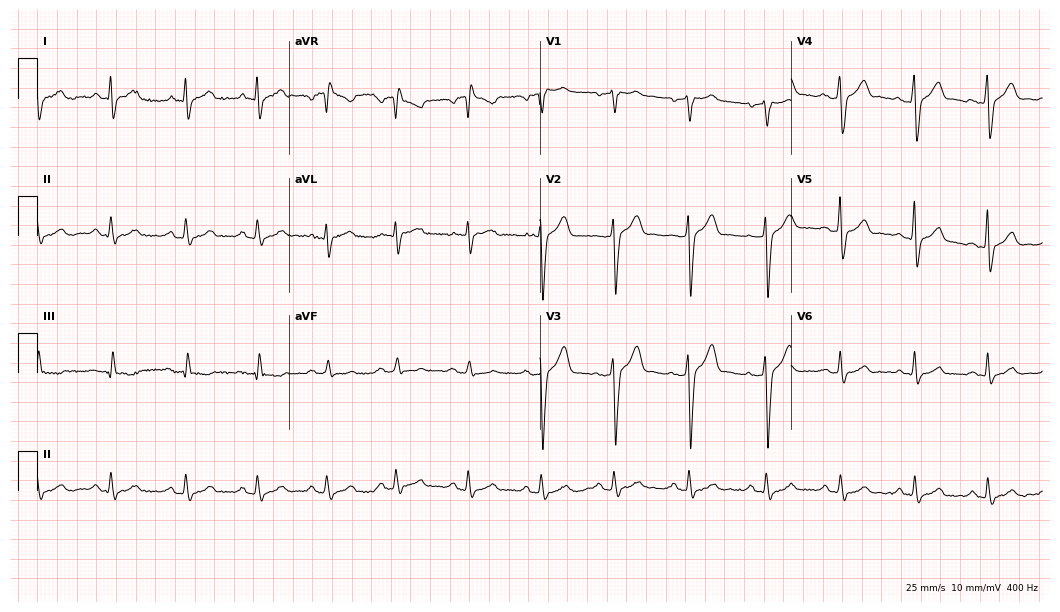
Resting 12-lead electrocardiogram. Patient: a 40-year-old man. None of these six findings is recorded: first-degree AV block, right bundle branch block (RBBB), left bundle branch block (LBBB), sinus bradycardia, atrial fibrillation (AF), sinus tachycardia. Other findings, if any, are not listed.